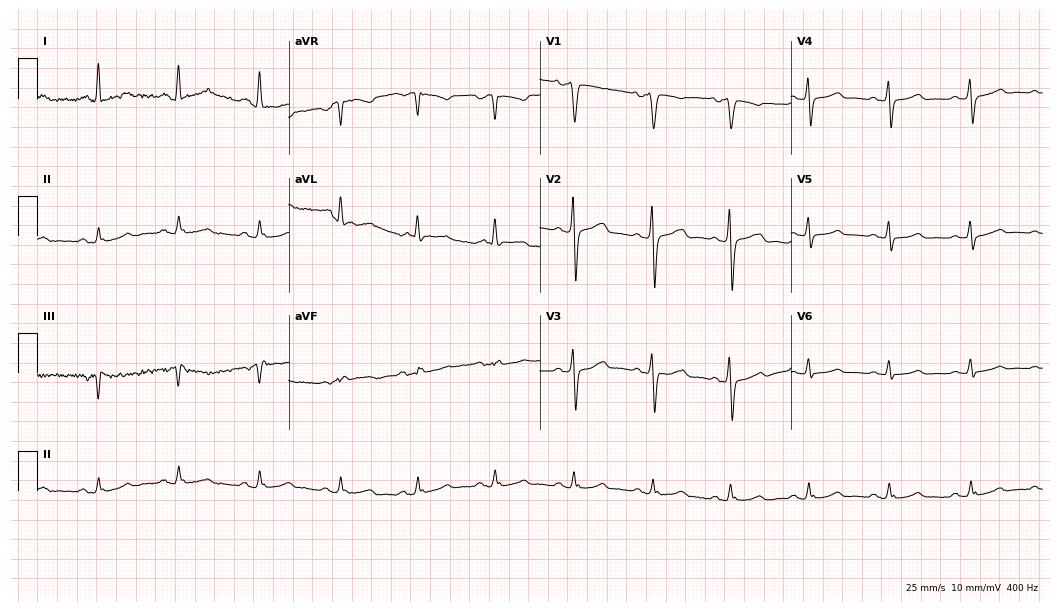
ECG (10.2-second recording at 400 Hz) — a 48-year-old man. Screened for six findings — first-degree AV block, right bundle branch block, left bundle branch block, sinus bradycardia, atrial fibrillation, sinus tachycardia — none is recorded.